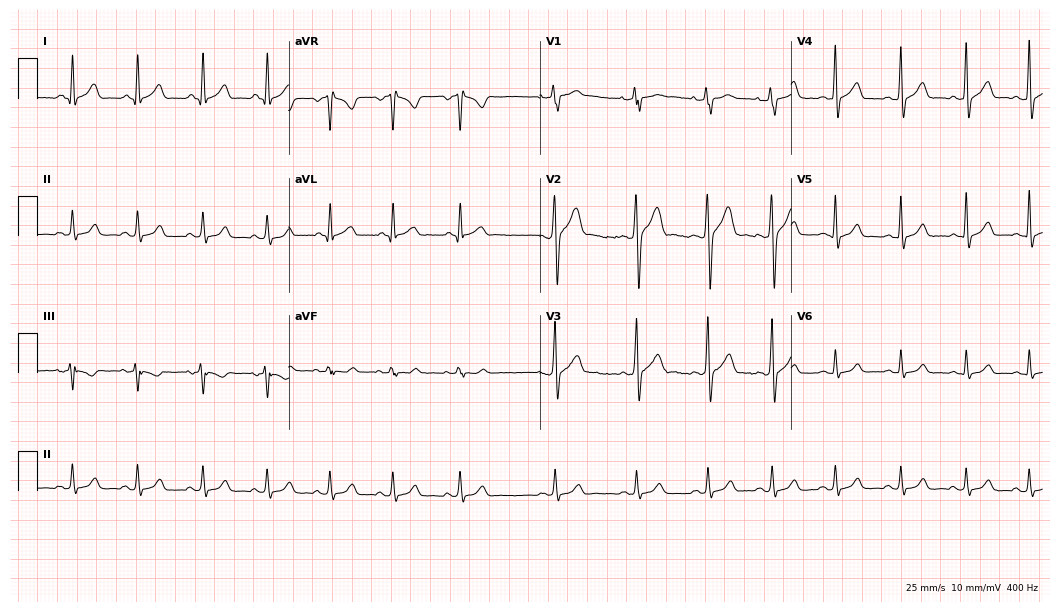
12-lead ECG from a man, 22 years old. Screened for six findings — first-degree AV block, right bundle branch block (RBBB), left bundle branch block (LBBB), sinus bradycardia, atrial fibrillation (AF), sinus tachycardia — none is recorded. Other findings, if any, are not listed.